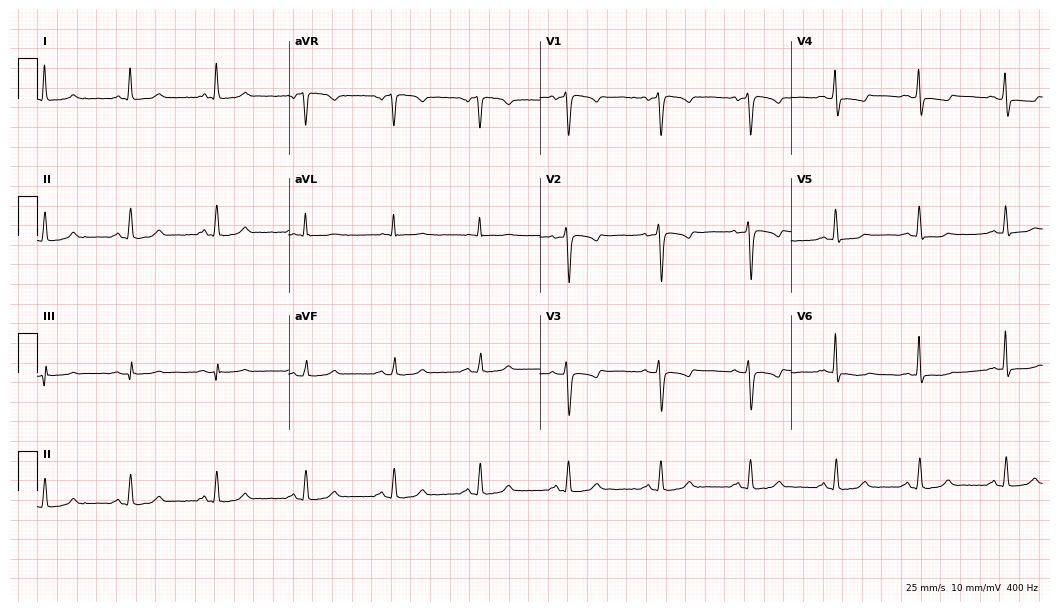
Electrocardiogram, a female, 50 years old. Of the six screened findings (first-degree AV block, right bundle branch block, left bundle branch block, sinus bradycardia, atrial fibrillation, sinus tachycardia), none is recorded. Findings outside these six are not listed.